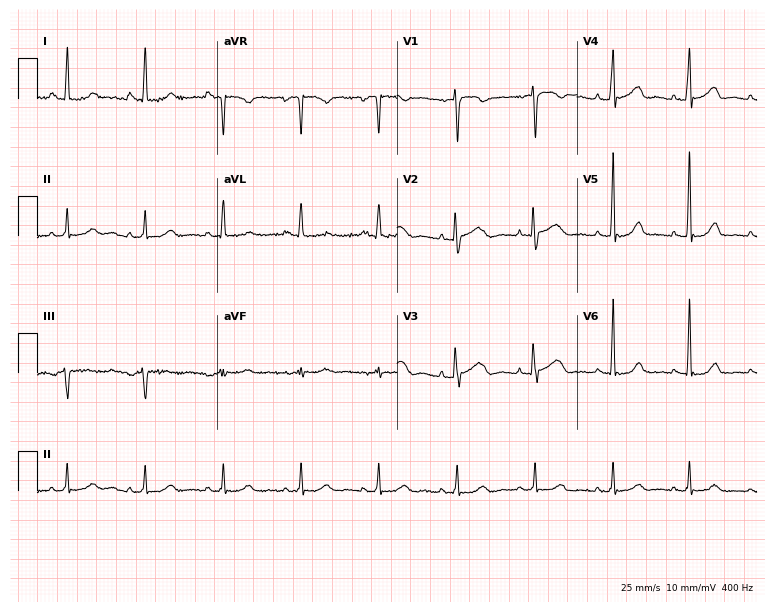
Electrocardiogram, a female, 50 years old. Of the six screened findings (first-degree AV block, right bundle branch block (RBBB), left bundle branch block (LBBB), sinus bradycardia, atrial fibrillation (AF), sinus tachycardia), none is recorded. Only these six findings were labelled.